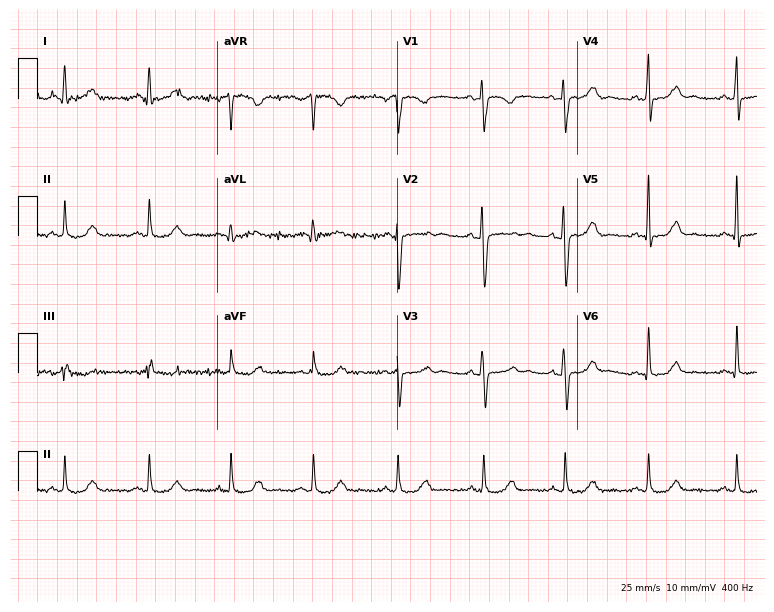
Standard 12-lead ECG recorded from a female patient, 31 years old (7.3-second recording at 400 Hz). None of these six findings is recorded: first-degree AV block, right bundle branch block, left bundle branch block, sinus bradycardia, atrial fibrillation, sinus tachycardia. Findings outside these six are not listed.